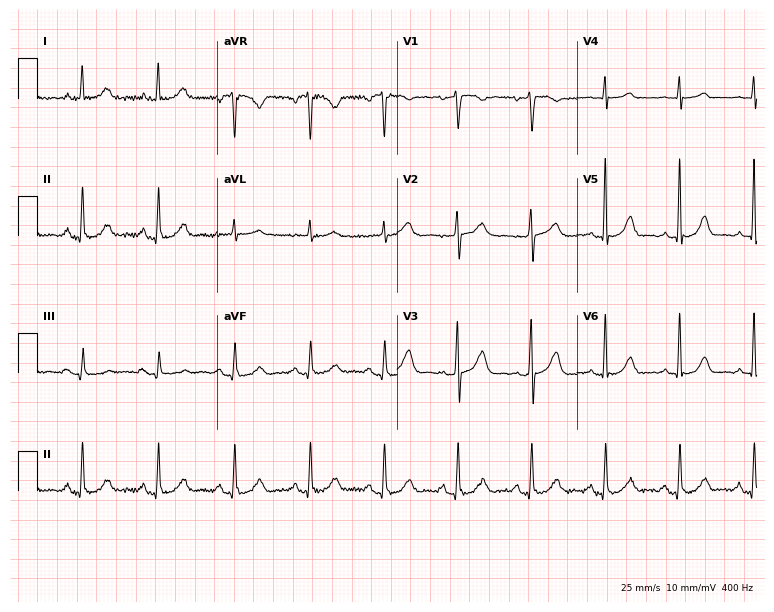
Resting 12-lead electrocardiogram (7.3-second recording at 400 Hz). Patient: a 74-year-old female. Read as a normal ECG.